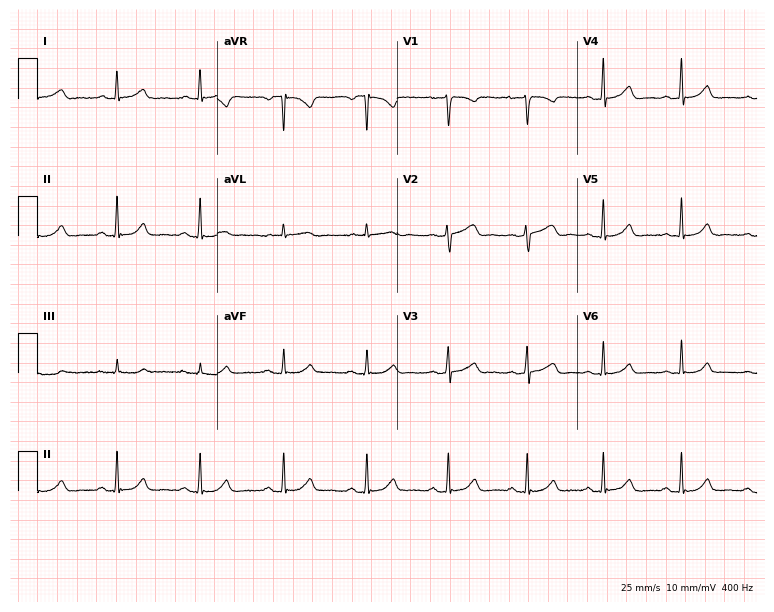
Standard 12-lead ECG recorded from a 38-year-old female patient. Read as a normal ECG.